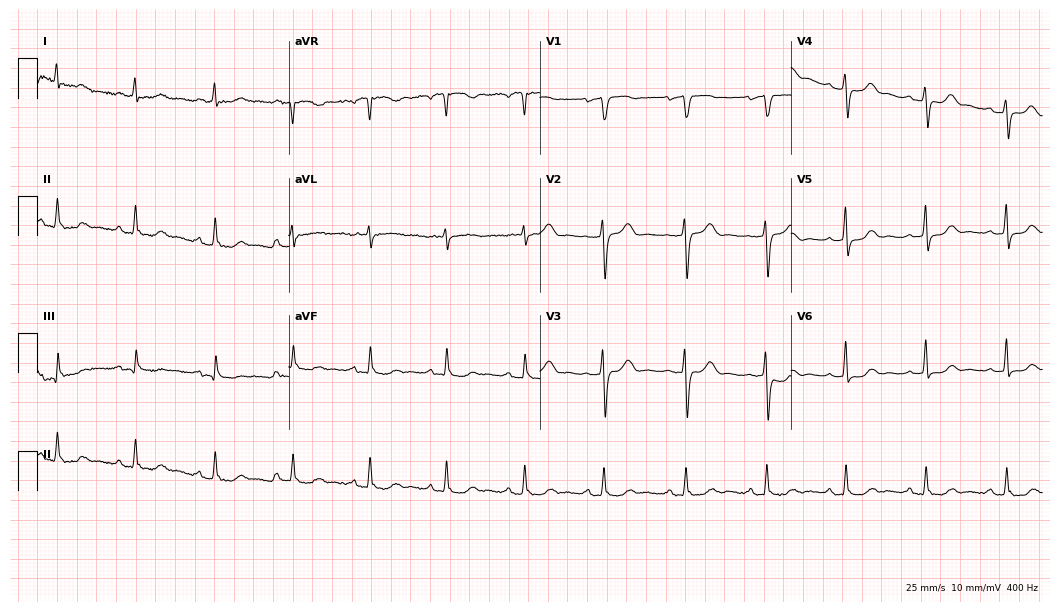
ECG (10.2-second recording at 400 Hz) — a female patient, 78 years old. Screened for six findings — first-degree AV block, right bundle branch block, left bundle branch block, sinus bradycardia, atrial fibrillation, sinus tachycardia — none is recorded. Only these six findings were labelled.